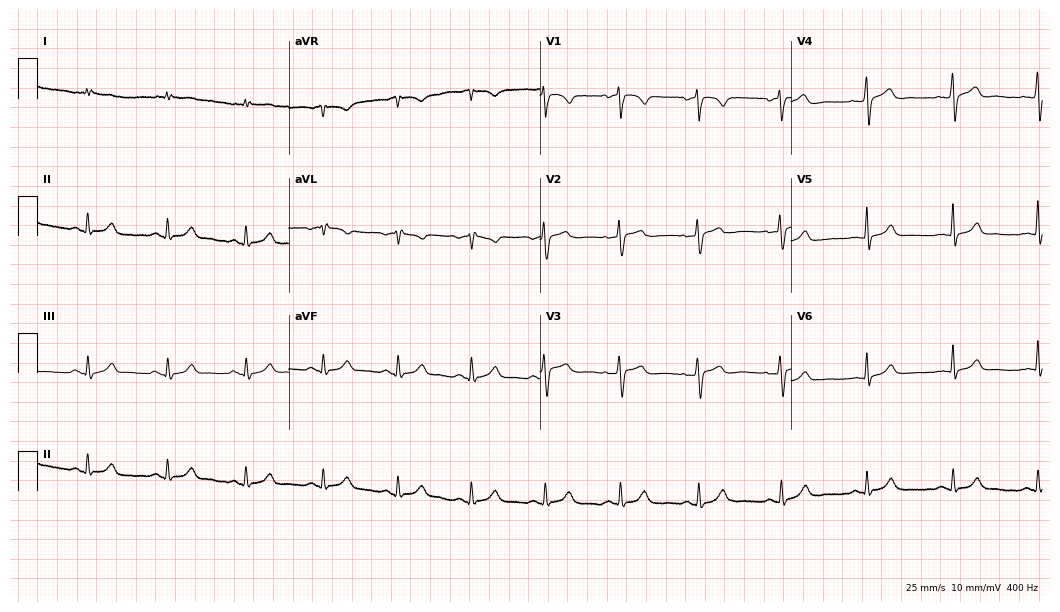
12-lead ECG from a 41-year-old male (10.2-second recording at 400 Hz). No first-degree AV block, right bundle branch block, left bundle branch block, sinus bradycardia, atrial fibrillation or sinus tachycardia recorded for this tracing.